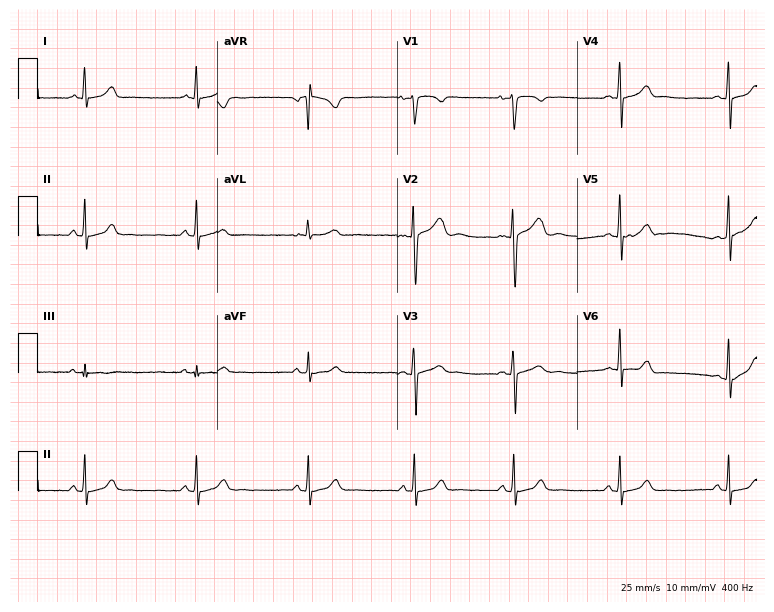
Standard 12-lead ECG recorded from a woman, 20 years old. Read as a normal ECG.